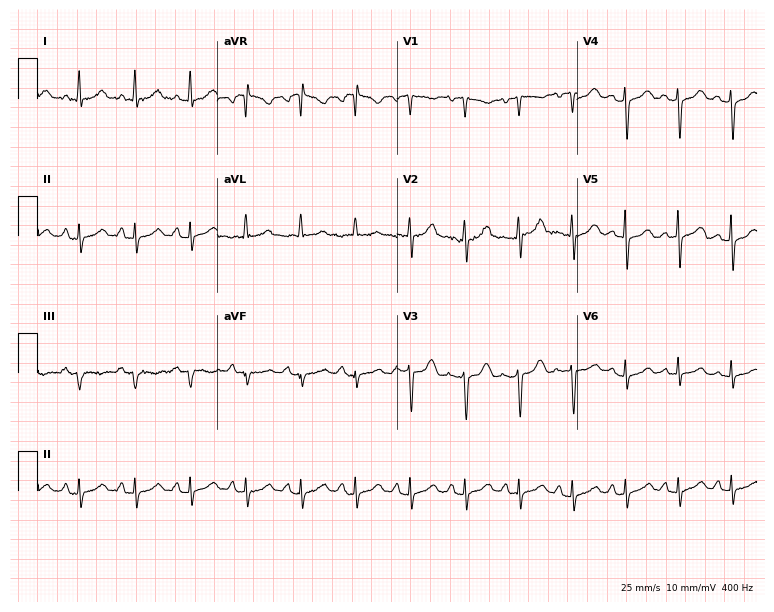
Standard 12-lead ECG recorded from a 51-year-old woman (7.3-second recording at 400 Hz). The tracing shows sinus tachycardia (a sinus rate of 100 beats per minute or more).